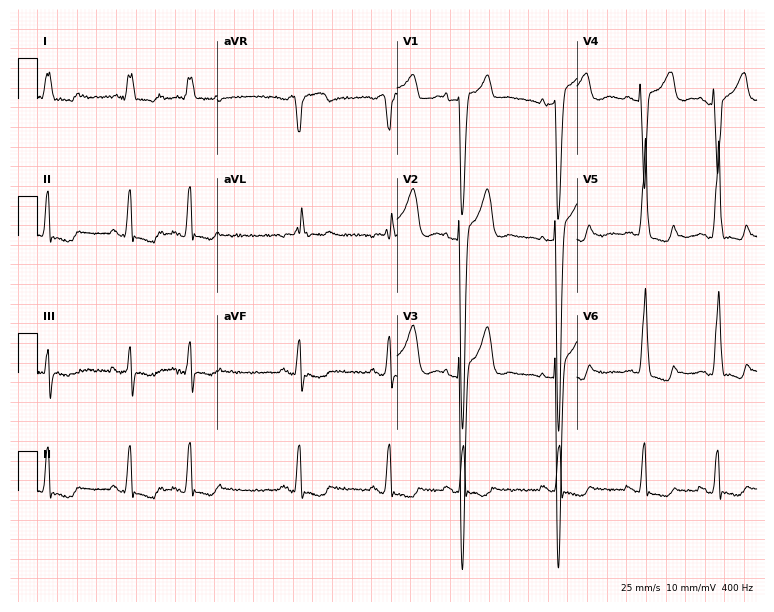
12-lead ECG from an 85-year-old female. Findings include left bundle branch block.